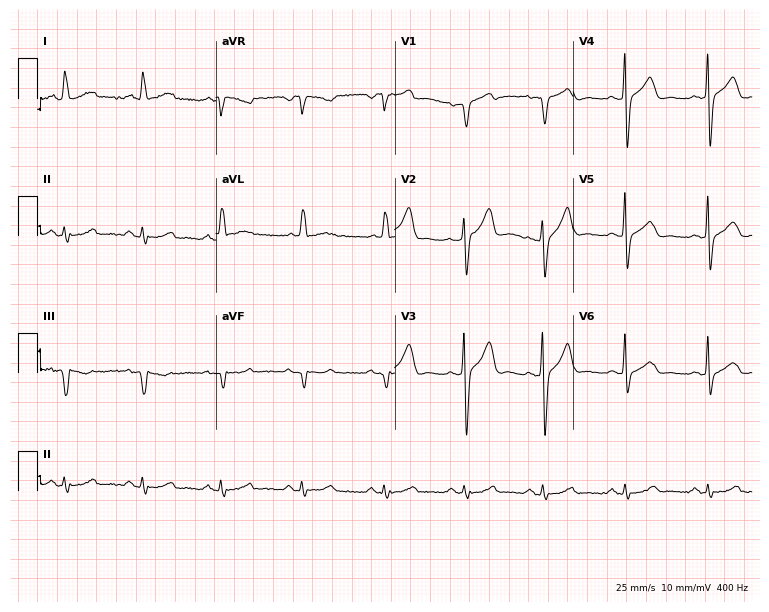
Standard 12-lead ECG recorded from a 57-year-old woman (7.3-second recording at 400 Hz). Read as a normal ECG.